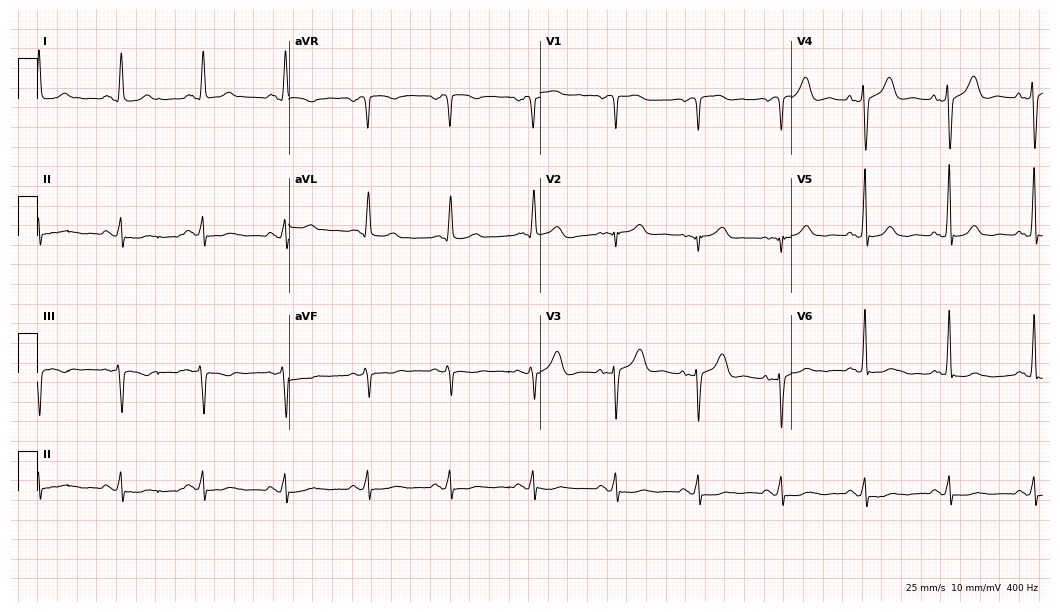
12-lead ECG (10.2-second recording at 400 Hz) from a female, 77 years old. Screened for six findings — first-degree AV block, right bundle branch block, left bundle branch block, sinus bradycardia, atrial fibrillation, sinus tachycardia — none is recorded. Findings outside these six are not listed.